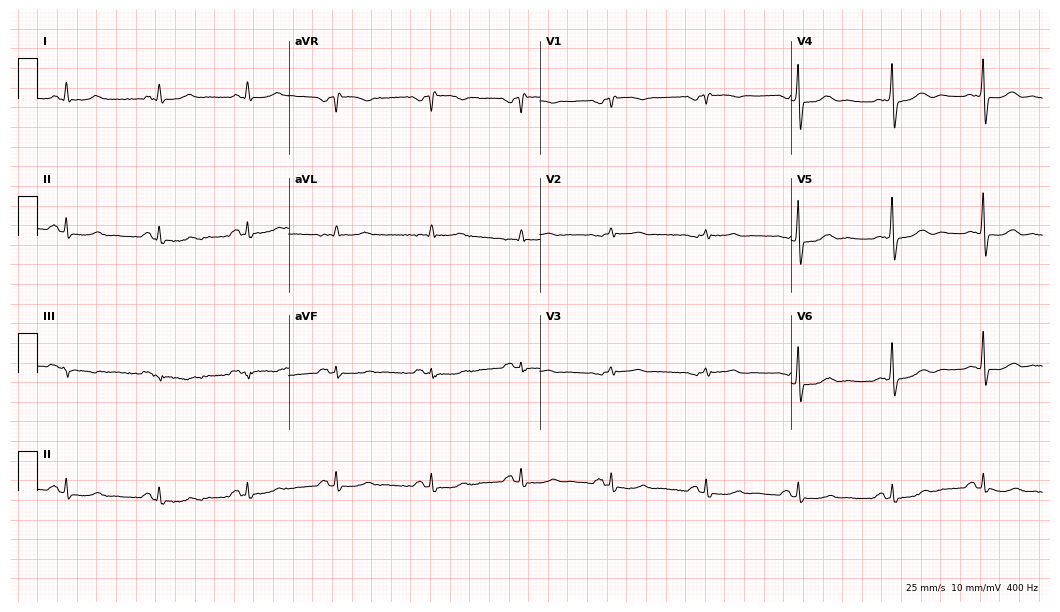
12-lead ECG from a male patient, 69 years old. Screened for six findings — first-degree AV block, right bundle branch block (RBBB), left bundle branch block (LBBB), sinus bradycardia, atrial fibrillation (AF), sinus tachycardia — none is recorded.